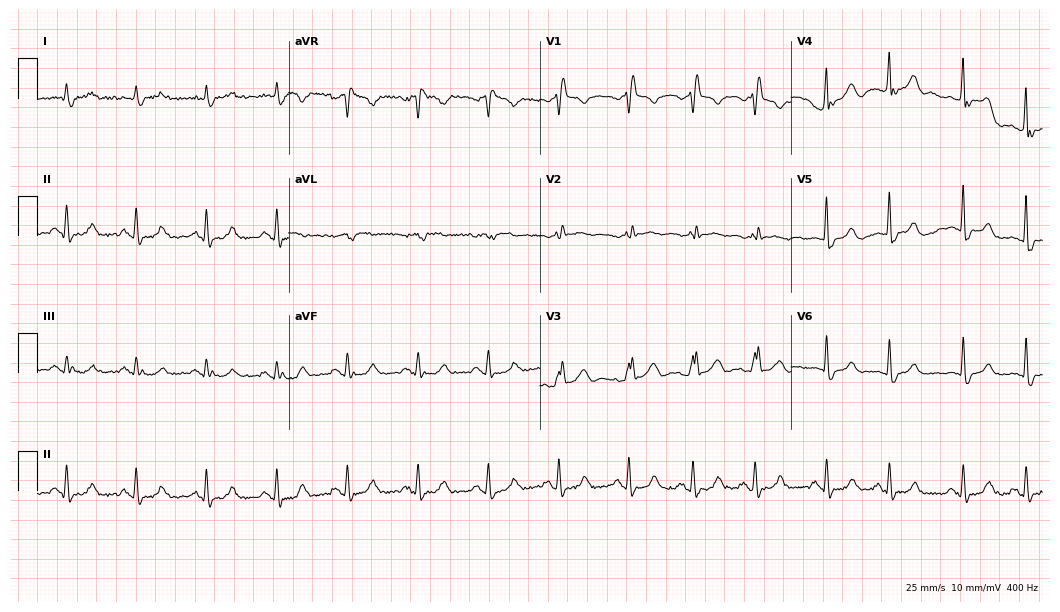
Resting 12-lead electrocardiogram (10.2-second recording at 400 Hz). Patient: an 80-year-old man. The tracing shows right bundle branch block.